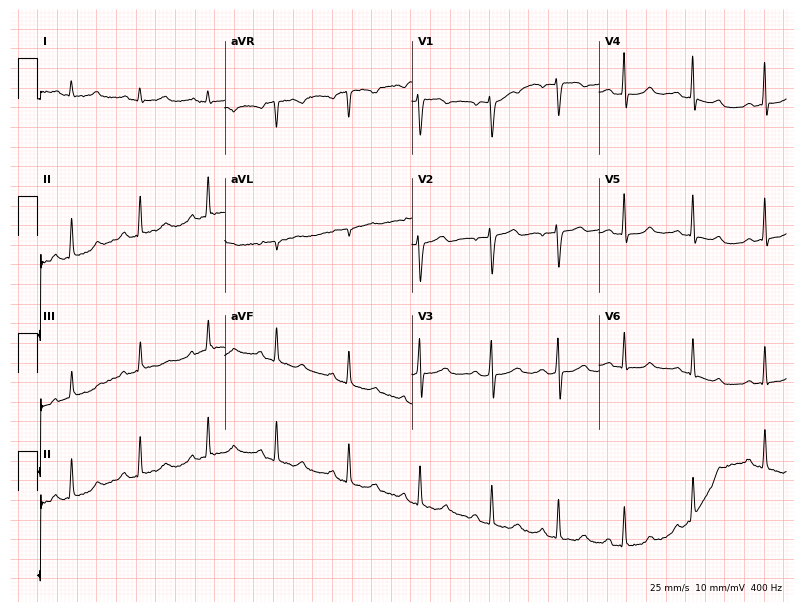
Electrocardiogram (7.6-second recording at 400 Hz), a 33-year-old woman. Overall reading on record: normal ECG.